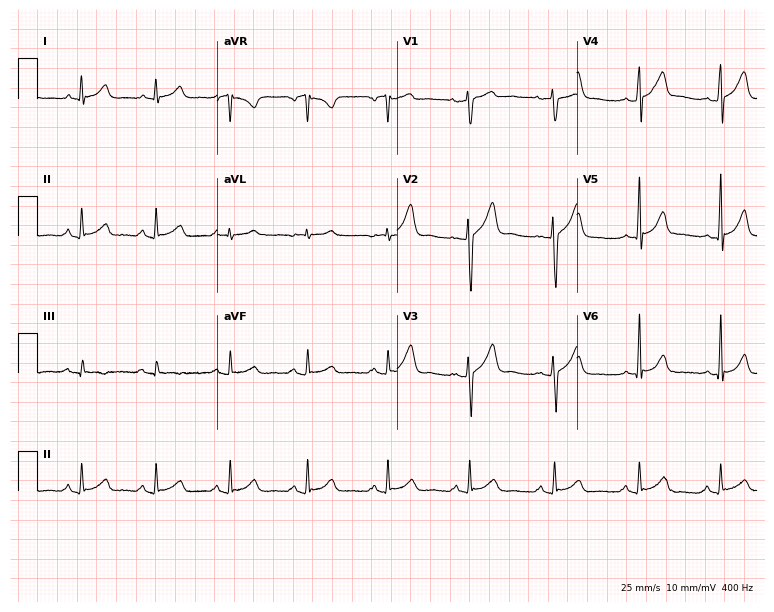
Electrocardiogram, a male patient, 31 years old. Overall reading on record: normal ECG.